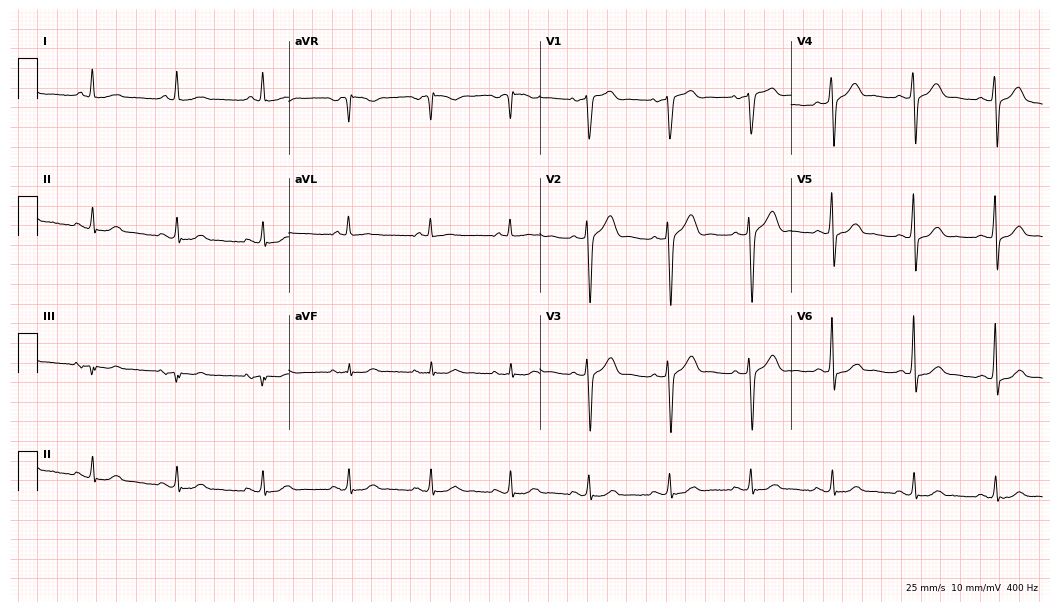
ECG — a male patient, 59 years old. Labelled as a normal ECG.